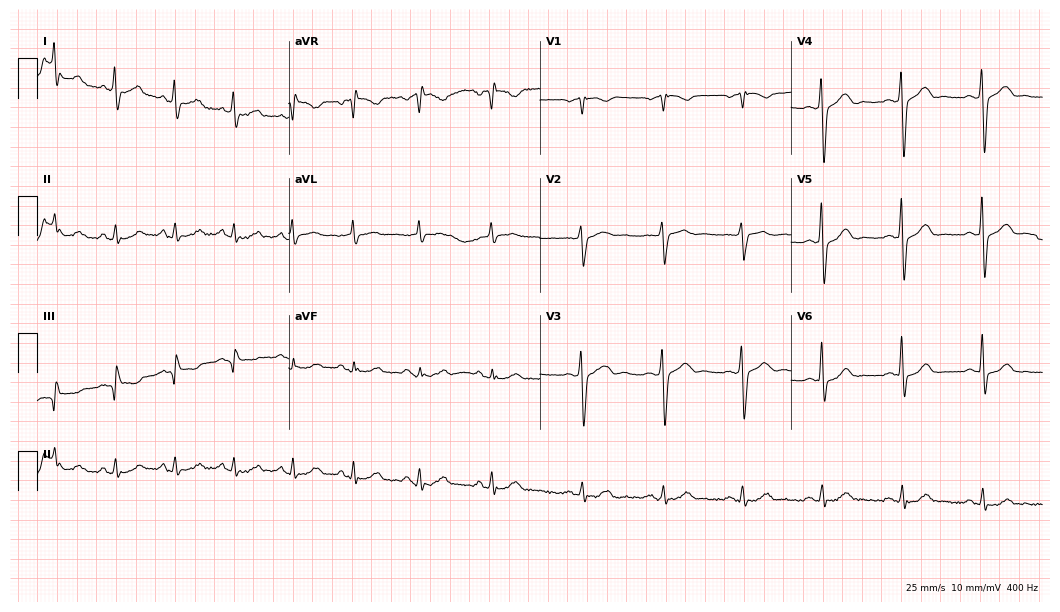
Electrocardiogram, a male patient, 57 years old. Overall reading on record: normal ECG.